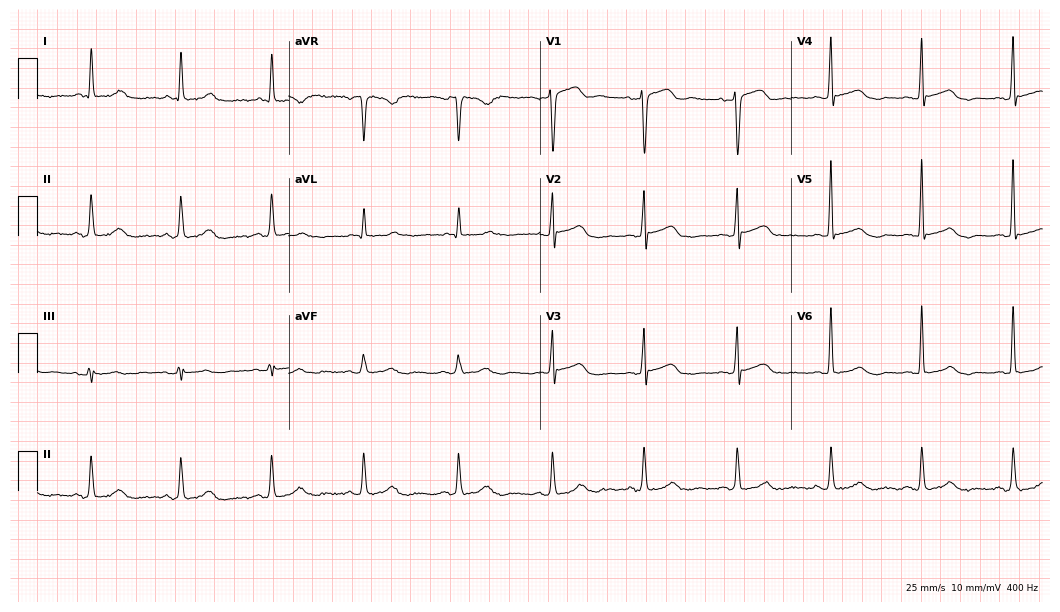
Electrocardiogram, a female patient, 75 years old. Overall reading on record: normal ECG.